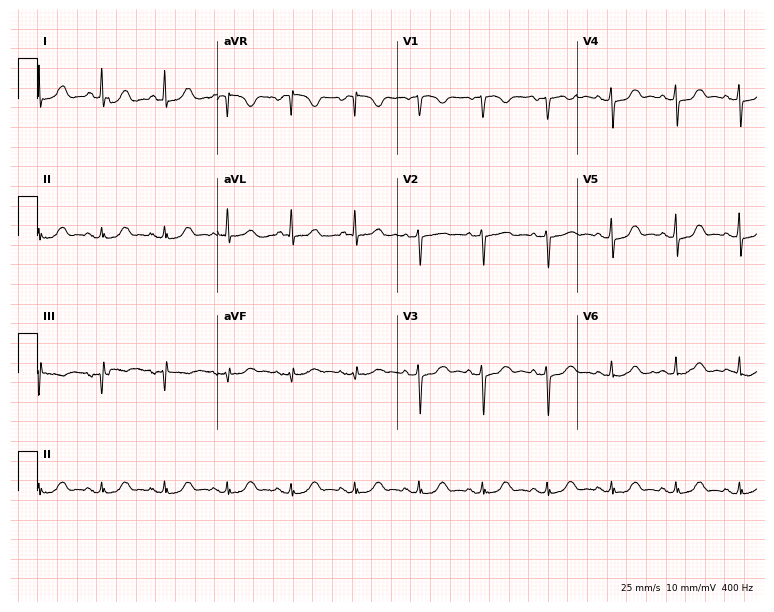
ECG (7.3-second recording at 400 Hz) — a 49-year-old female patient. Labelled as a normal ECG.